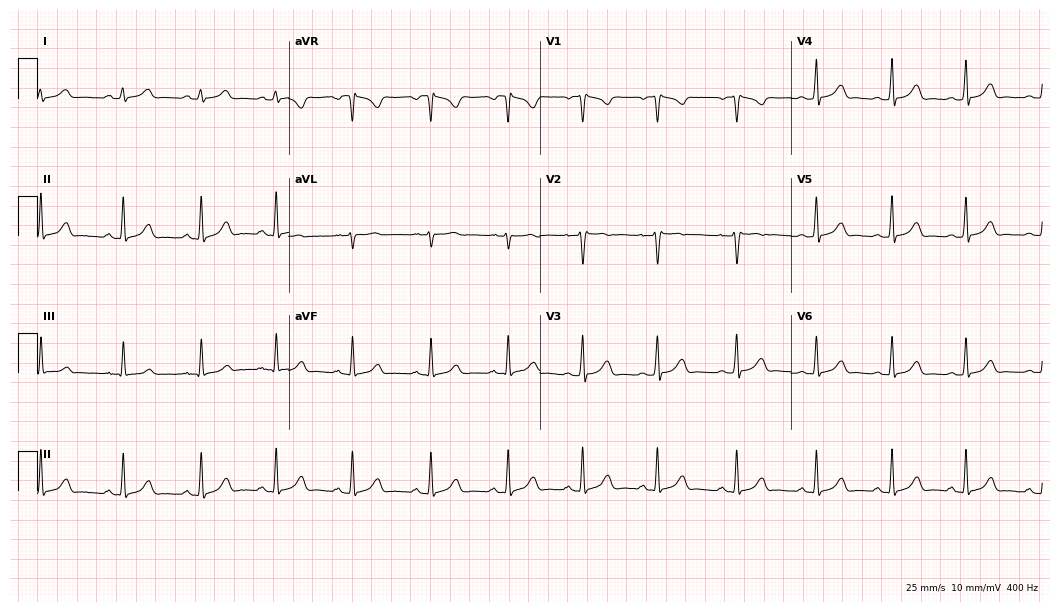
Standard 12-lead ECG recorded from a female, 23 years old (10.2-second recording at 400 Hz). None of these six findings is recorded: first-degree AV block, right bundle branch block (RBBB), left bundle branch block (LBBB), sinus bradycardia, atrial fibrillation (AF), sinus tachycardia. Findings outside these six are not listed.